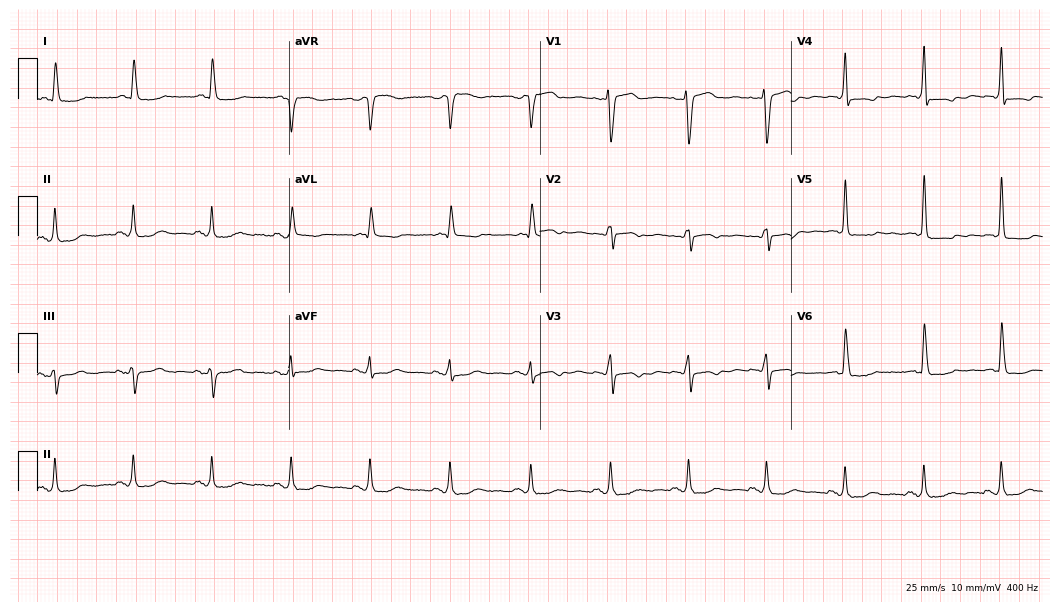
Electrocardiogram (10.2-second recording at 400 Hz), a female, 75 years old. Of the six screened findings (first-degree AV block, right bundle branch block (RBBB), left bundle branch block (LBBB), sinus bradycardia, atrial fibrillation (AF), sinus tachycardia), none is recorded. Only these six findings were labelled.